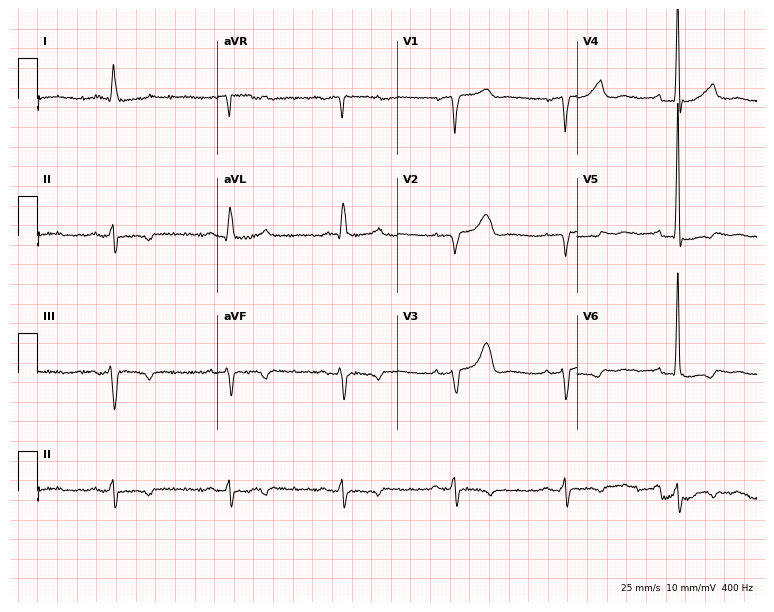
Standard 12-lead ECG recorded from an 82-year-old man. None of these six findings is recorded: first-degree AV block, right bundle branch block, left bundle branch block, sinus bradycardia, atrial fibrillation, sinus tachycardia. Other findings, if any, are not listed.